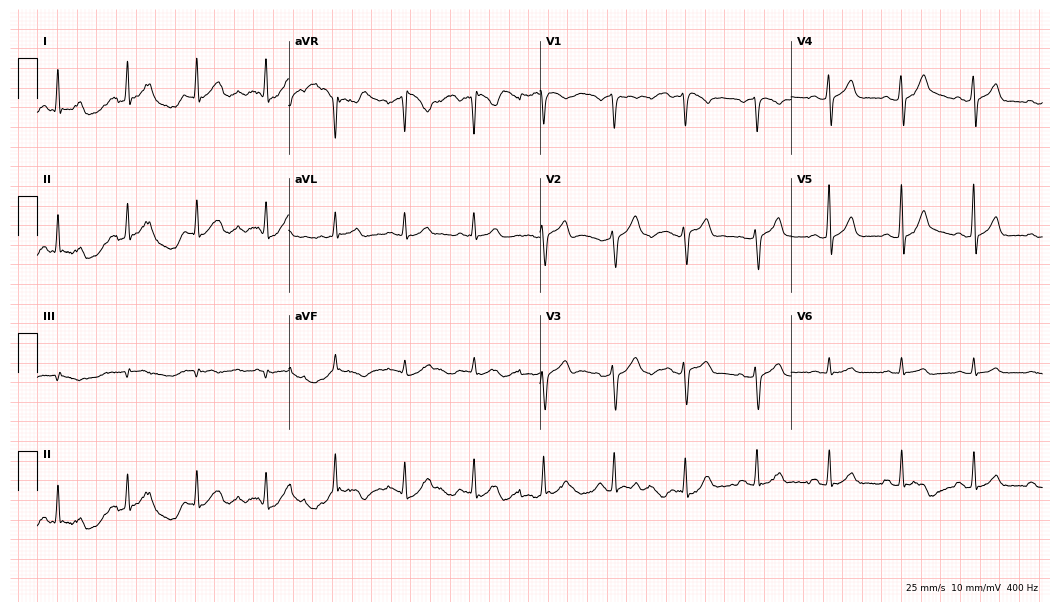
Standard 12-lead ECG recorded from a 48-year-old male. None of these six findings is recorded: first-degree AV block, right bundle branch block (RBBB), left bundle branch block (LBBB), sinus bradycardia, atrial fibrillation (AF), sinus tachycardia. Findings outside these six are not listed.